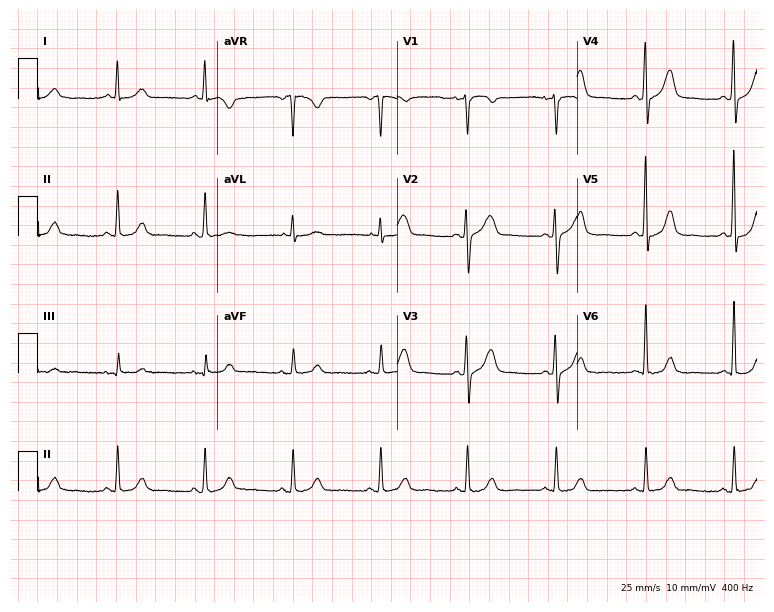
Resting 12-lead electrocardiogram. Patient: a female, 64 years old. None of these six findings is recorded: first-degree AV block, right bundle branch block, left bundle branch block, sinus bradycardia, atrial fibrillation, sinus tachycardia. Only these six findings were labelled.